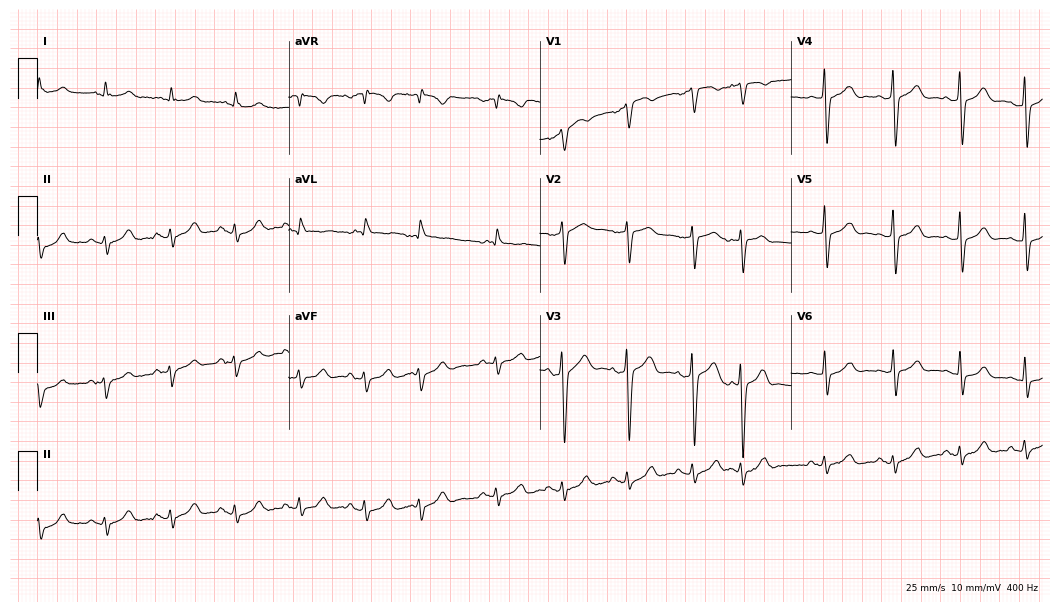
Electrocardiogram, a man, 84 years old. Of the six screened findings (first-degree AV block, right bundle branch block (RBBB), left bundle branch block (LBBB), sinus bradycardia, atrial fibrillation (AF), sinus tachycardia), none is recorded.